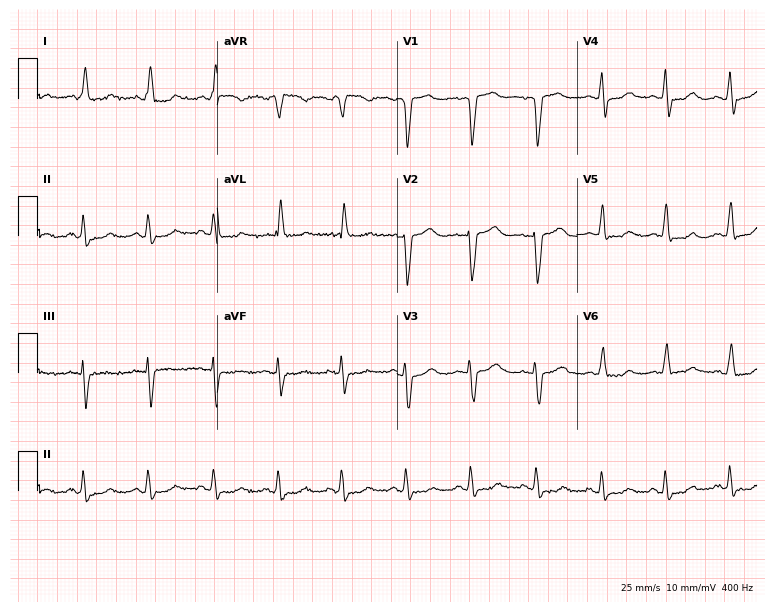
Resting 12-lead electrocardiogram (7.3-second recording at 400 Hz). Patient: a 62-year-old woman. None of these six findings is recorded: first-degree AV block, right bundle branch block, left bundle branch block, sinus bradycardia, atrial fibrillation, sinus tachycardia.